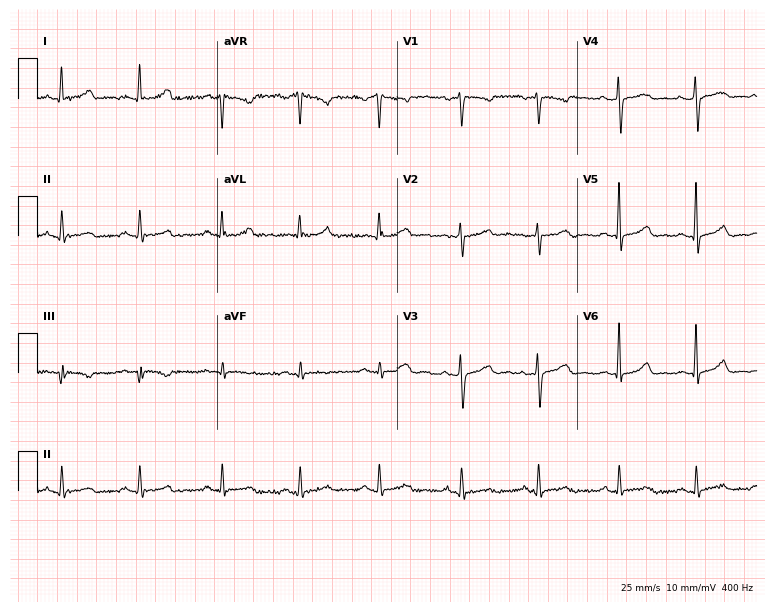
Resting 12-lead electrocardiogram. Patient: a 31-year-old female. None of these six findings is recorded: first-degree AV block, right bundle branch block, left bundle branch block, sinus bradycardia, atrial fibrillation, sinus tachycardia. Findings outside these six are not listed.